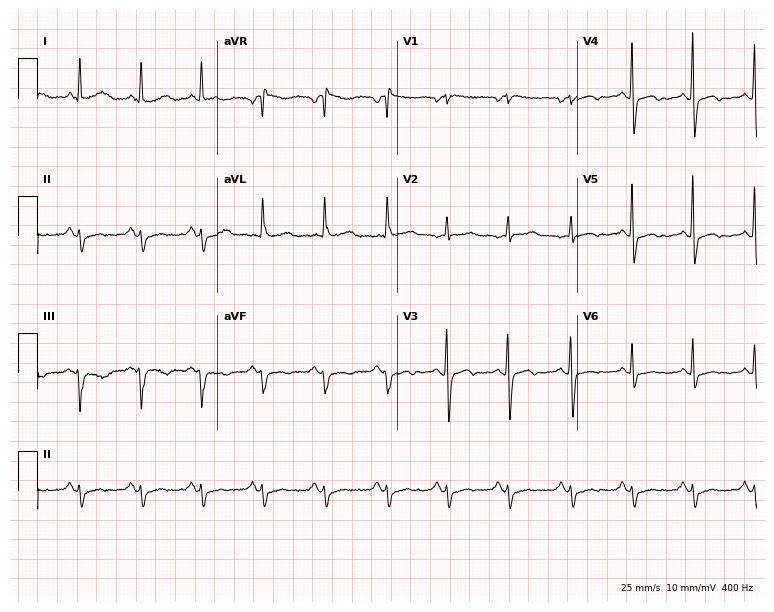
Resting 12-lead electrocardiogram (7.3-second recording at 400 Hz). Patient: a 73-year-old woman. None of these six findings is recorded: first-degree AV block, right bundle branch block, left bundle branch block, sinus bradycardia, atrial fibrillation, sinus tachycardia.